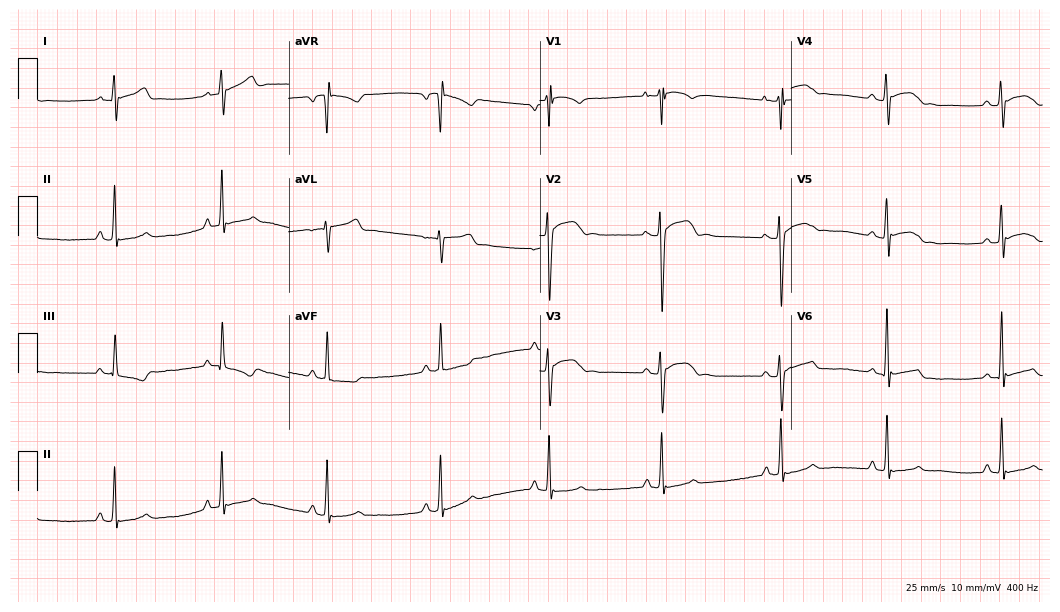
Standard 12-lead ECG recorded from a male, 19 years old. None of these six findings is recorded: first-degree AV block, right bundle branch block, left bundle branch block, sinus bradycardia, atrial fibrillation, sinus tachycardia.